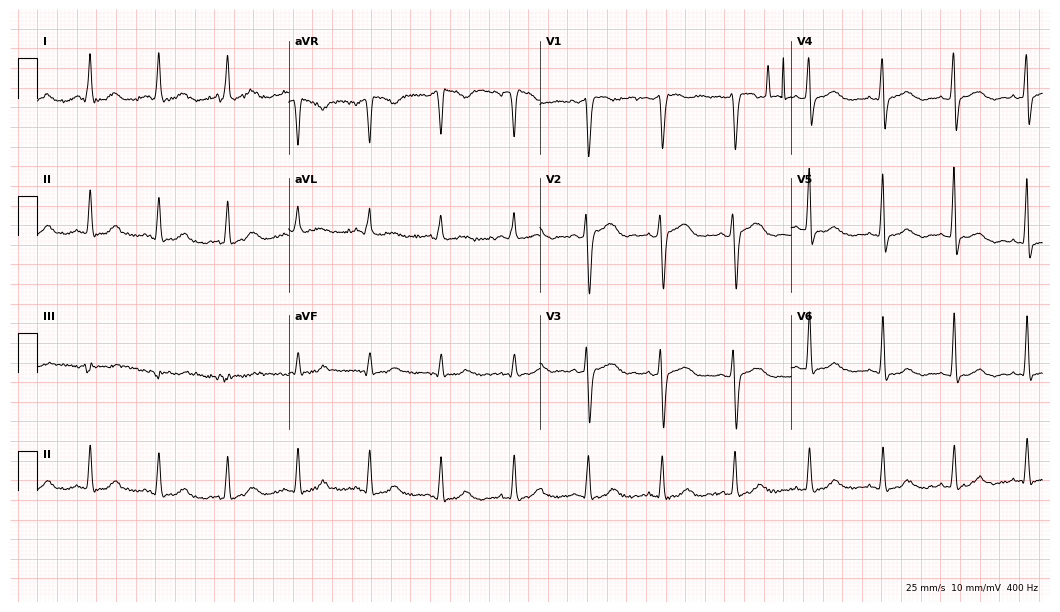
Resting 12-lead electrocardiogram (10.2-second recording at 400 Hz). Patient: a female, 31 years old. None of these six findings is recorded: first-degree AV block, right bundle branch block, left bundle branch block, sinus bradycardia, atrial fibrillation, sinus tachycardia. Findings outside these six are not listed.